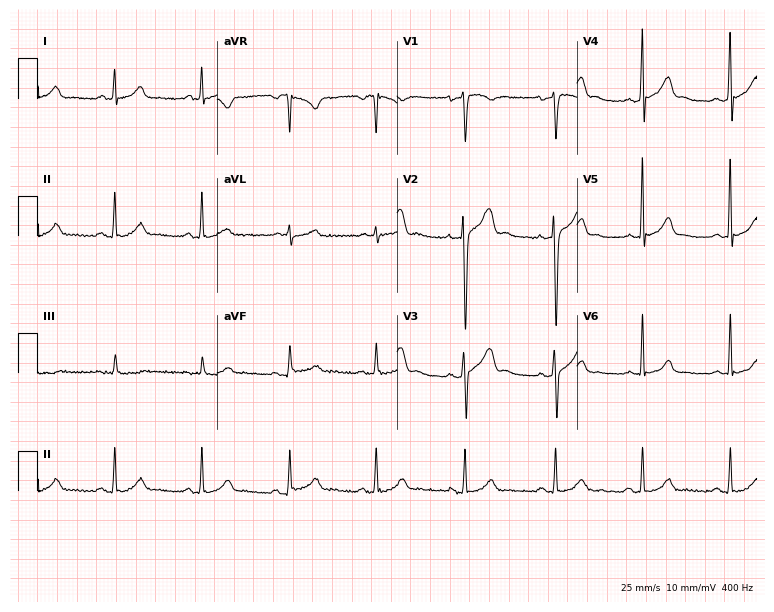
12-lead ECG (7.3-second recording at 400 Hz) from a male patient, 39 years old. Screened for six findings — first-degree AV block, right bundle branch block, left bundle branch block, sinus bradycardia, atrial fibrillation, sinus tachycardia — none is recorded. Findings outside these six are not listed.